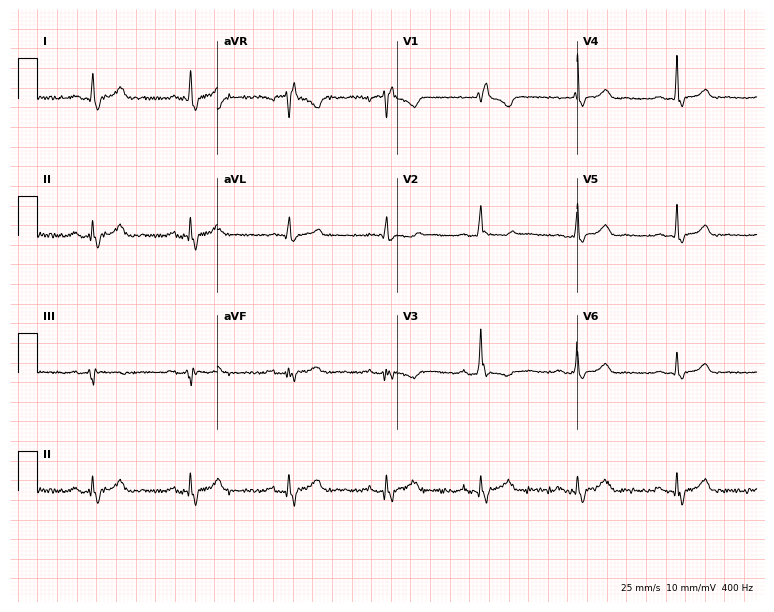
ECG — a 54-year-old female patient. Findings include right bundle branch block.